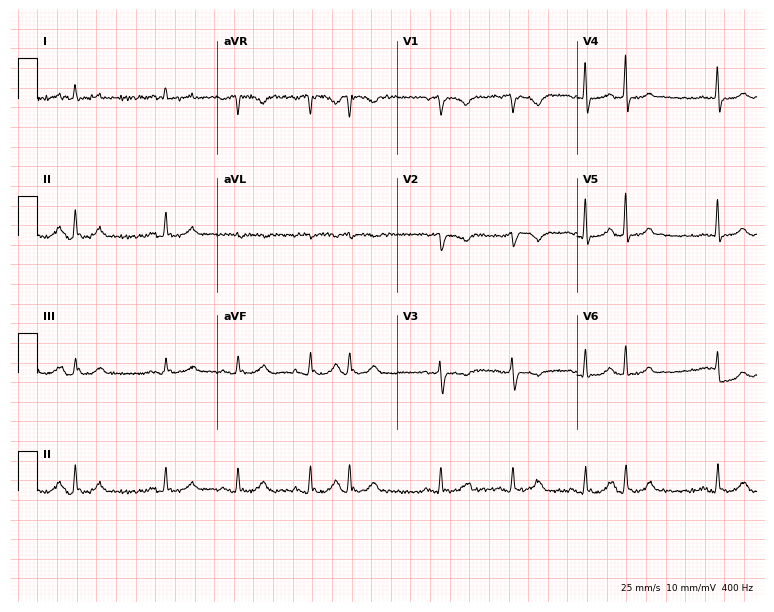
ECG (7.3-second recording at 400 Hz) — a 73-year-old male patient. Screened for six findings — first-degree AV block, right bundle branch block (RBBB), left bundle branch block (LBBB), sinus bradycardia, atrial fibrillation (AF), sinus tachycardia — none is recorded. Only these six findings were labelled.